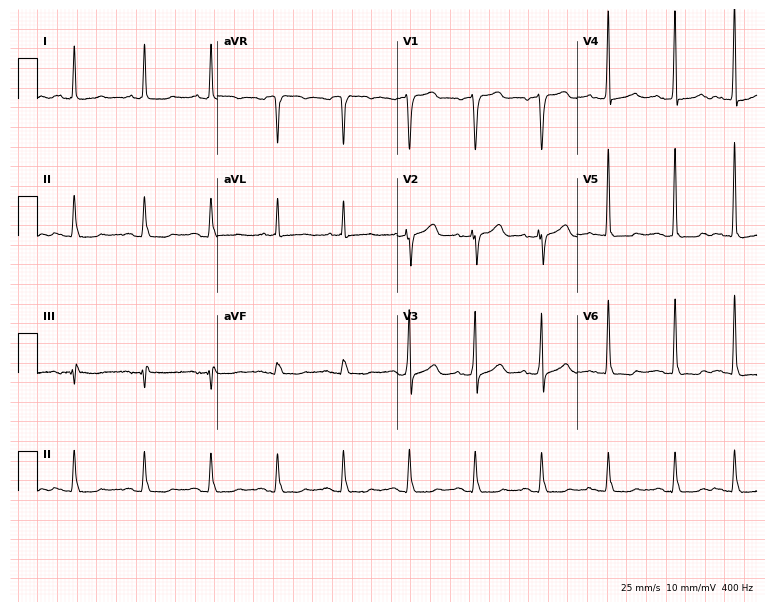
12-lead ECG (7.3-second recording at 400 Hz) from a male patient, 80 years old. Screened for six findings — first-degree AV block, right bundle branch block, left bundle branch block, sinus bradycardia, atrial fibrillation, sinus tachycardia — none is recorded. Other findings, if any, are not listed.